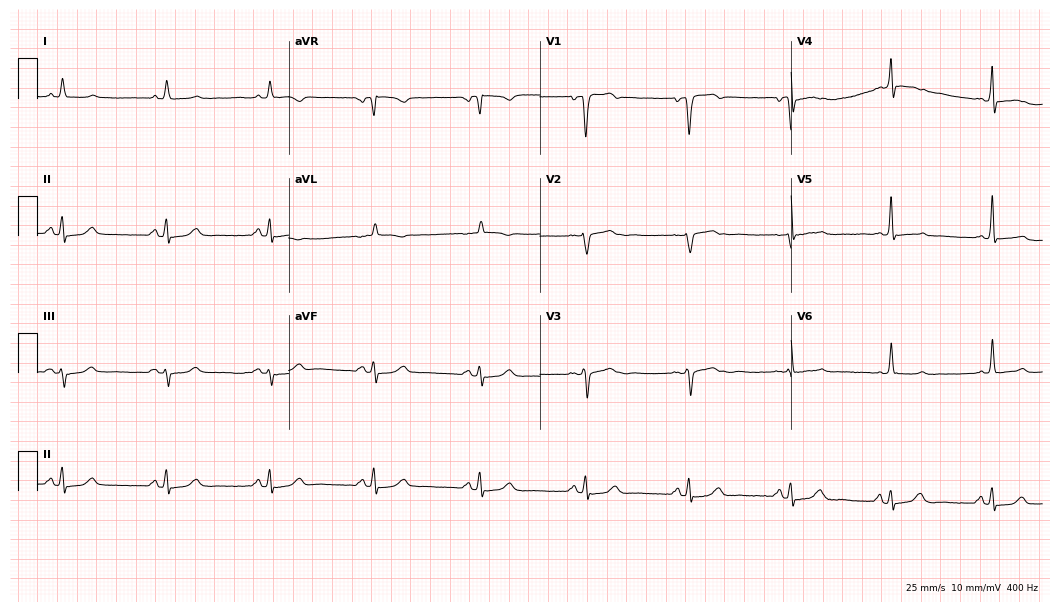
Electrocardiogram (10.2-second recording at 400 Hz), a 70-year-old male. Overall reading on record: normal ECG.